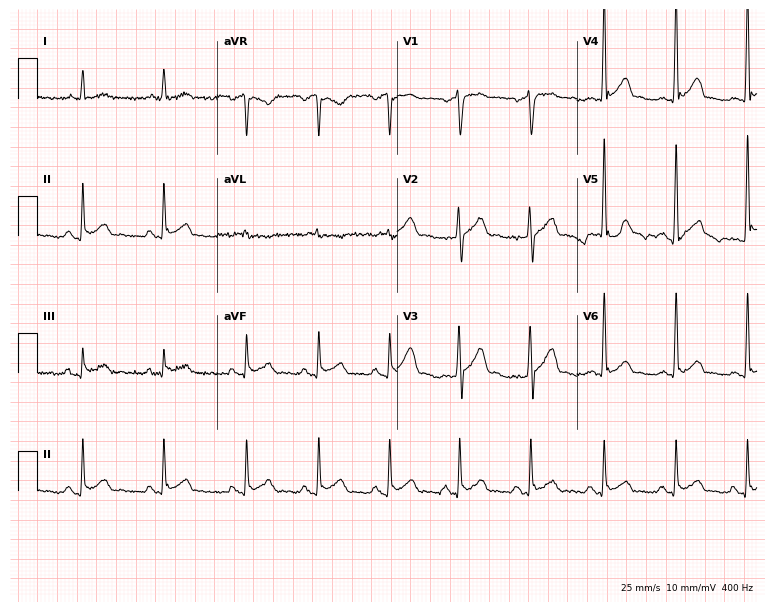
12-lead ECG from a 46-year-old male. No first-degree AV block, right bundle branch block (RBBB), left bundle branch block (LBBB), sinus bradycardia, atrial fibrillation (AF) or sinus tachycardia recorded for this tracing. Only these six findings were labelled.